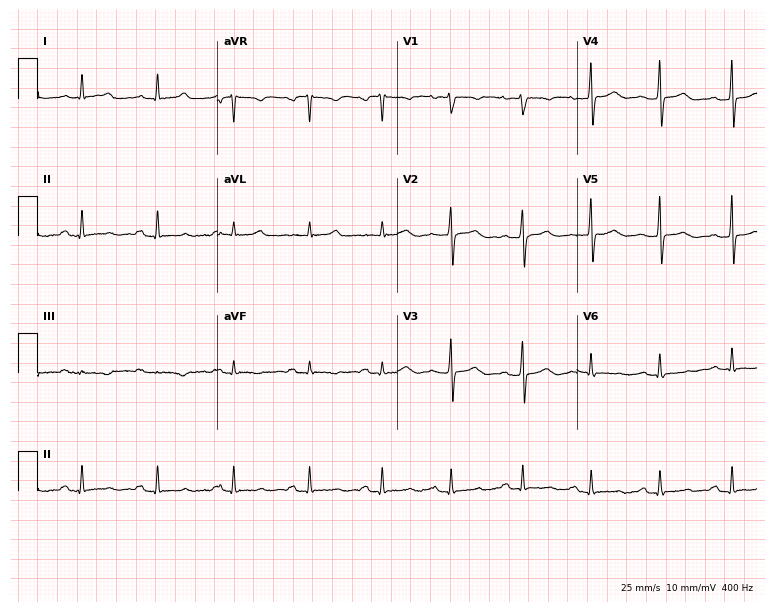
12-lead ECG (7.3-second recording at 400 Hz) from a woman, 36 years old. Screened for six findings — first-degree AV block, right bundle branch block, left bundle branch block, sinus bradycardia, atrial fibrillation, sinus tachycardia — none is recorded. Other findings, if any, are not listed.